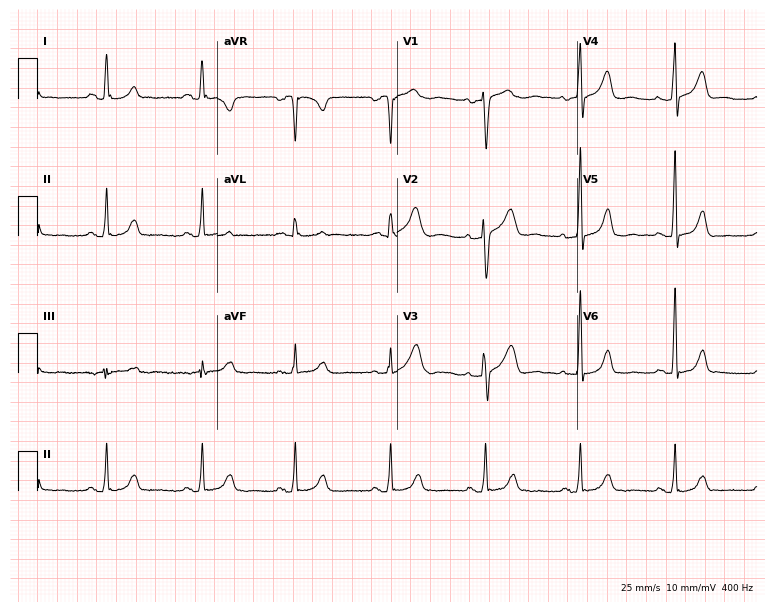
Standard 12-lead ECG recorded from a female patient, 57 years old (7.3-second recording at 400 Hz). Read as a normal ECG.